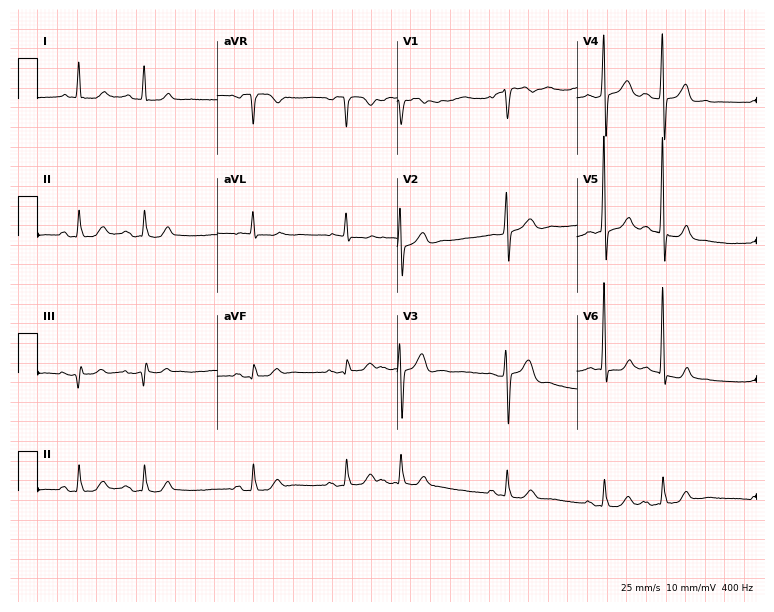
Standard 12-lead ECG recorded from a 72-year-old male patient. None of these six findings is recorded: first-degree AV block, right bundle branch block, left bundle branch block, sinus bradycardia, atrial fibrillation, sinus tachycardia.